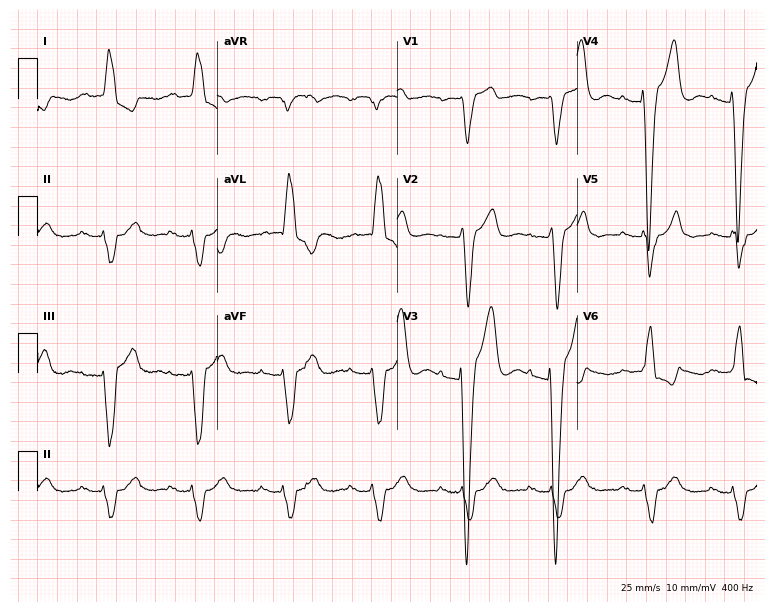
12-lead ECG (7.3-second recording at 400 Hz) from an 85-year-old male. Screened for six findings — first-degree AV block, right bundle branch block, left bundle branch block, sinus bradycardia, atrial fibrillation, sinus tachycardia — none is recorded.